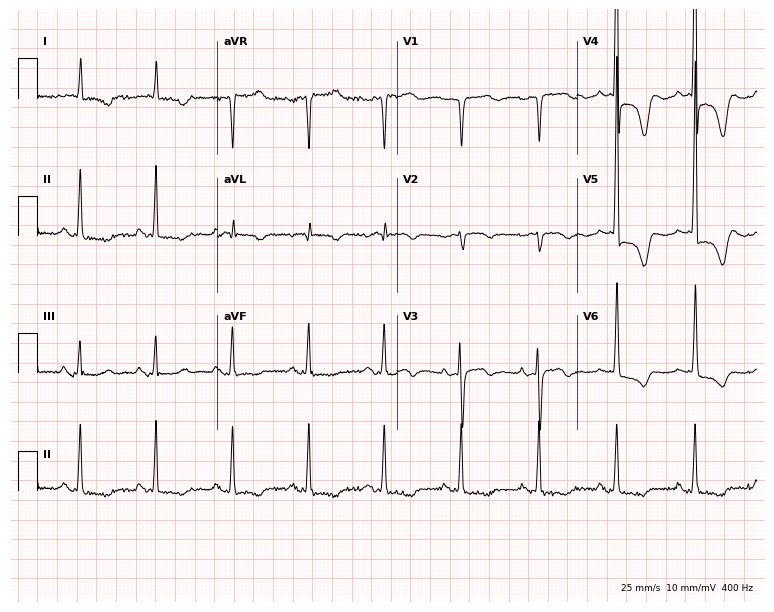
Resting 12-lead electrocardiogram (7.3-second recording at 400 Hz). Patient: a woman, 72 years old. None of these six findings is recorded: first-degree AV block, right bundle branch block, left bundle branch block, sinus bradycardia, atrial fibrillation, sinus tachycardia.